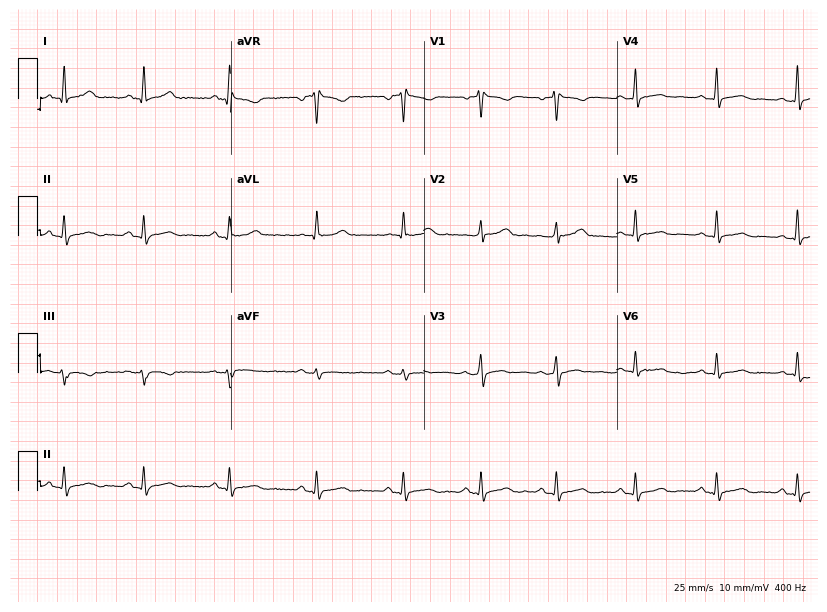
ECG — a female, 36 years old. Labelled as a normal ECG.